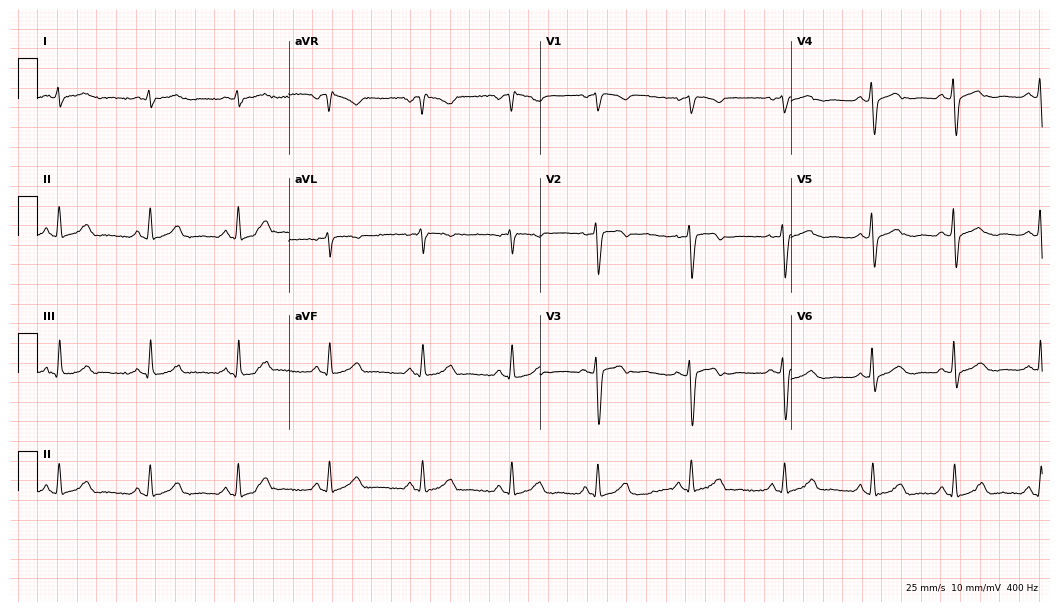
ECG — a 36-year-old female. Labelled as a normal ECG.